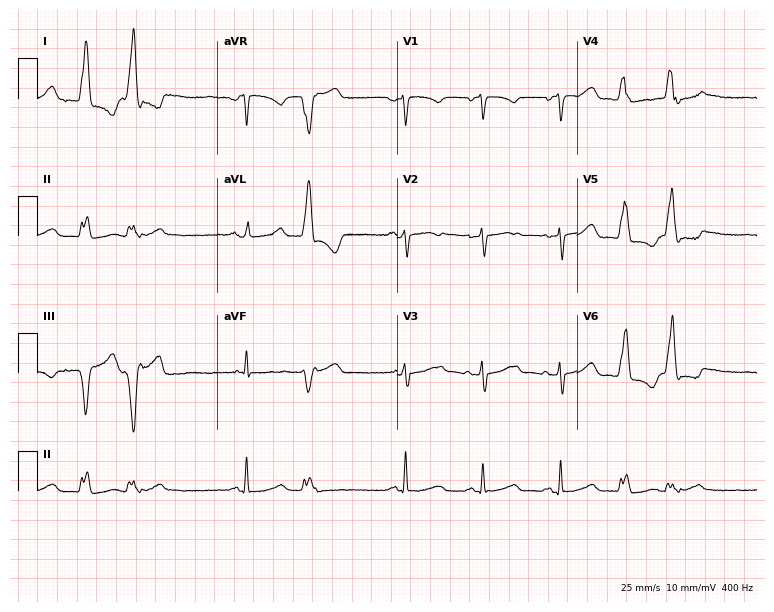
Resting 12-lead electrocardiogram (7.3-second recording at 400 Hz). Patient: a 50-year-old female. None of these six findings is recorded: first-degree AV block, right bundle branch block, left bundle branch block, sinus bradycardia, atrial fibrillation, sinus tachycardia. Other findings, if any, are not listed.